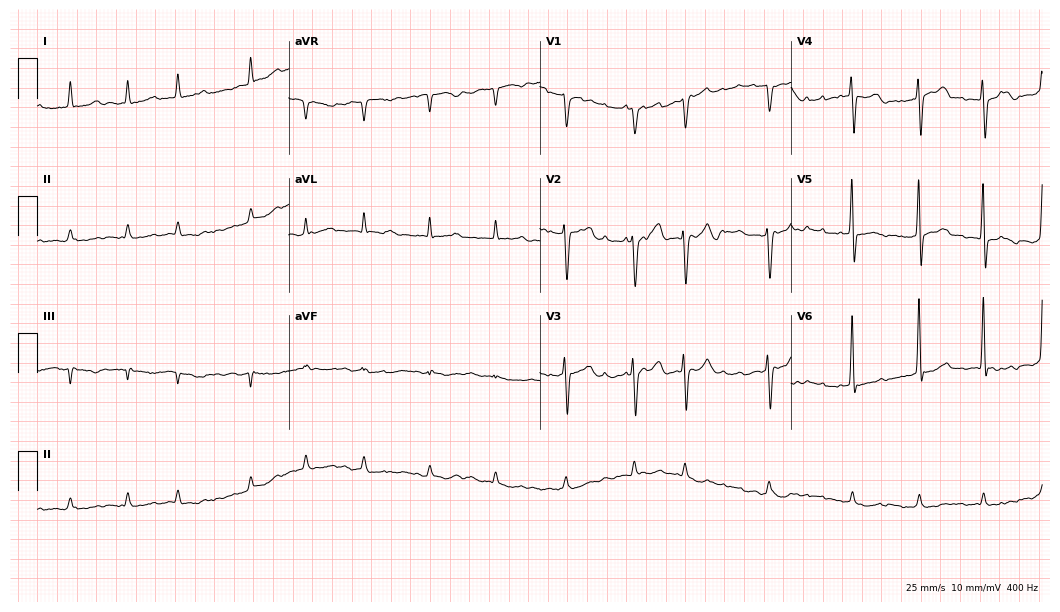
Resting 12-lead electrocardiogram (10.2-second recording at 400 Hz). Patient: a male, 85 years old. The tracing shows atrial fibrillation.